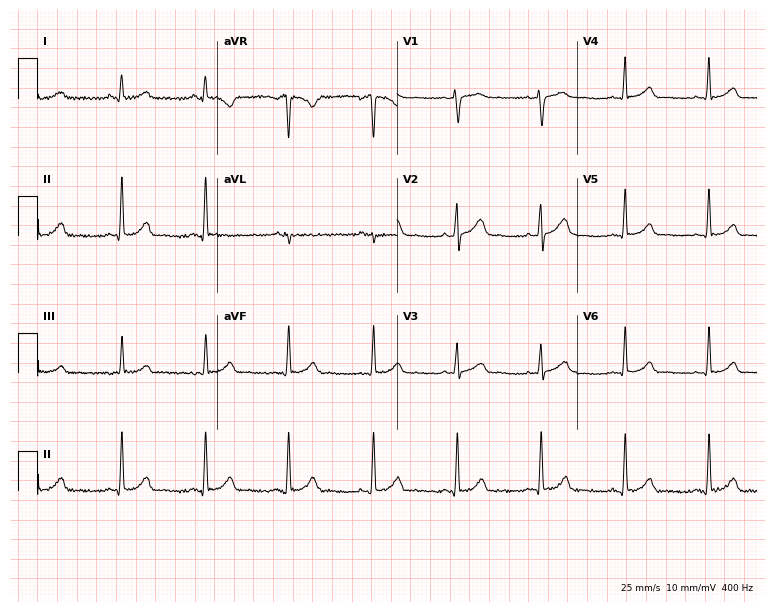
12-lead ECG from a male patient, 33 years old. Labelled as a normal ECG.